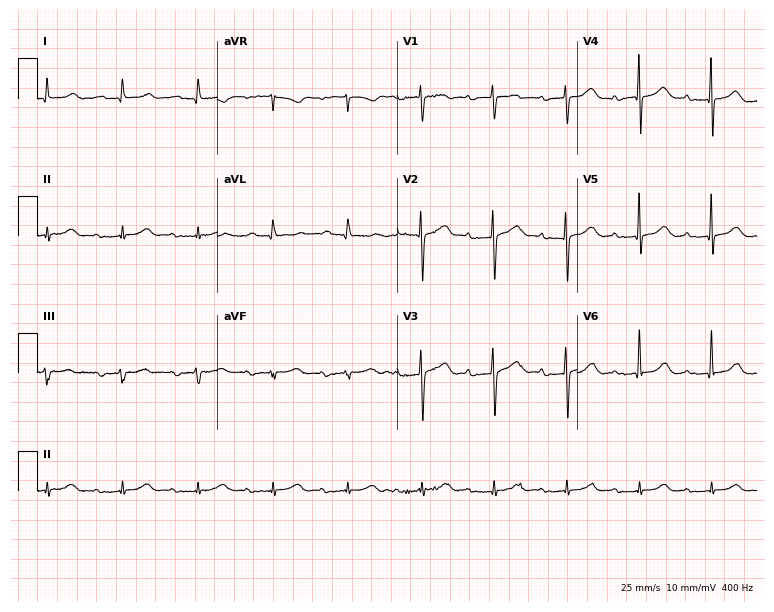
12-lead ECG (7.3-second recording at 400 Hz) from a 76-year-old male patient. Findings include first-degree AV block.